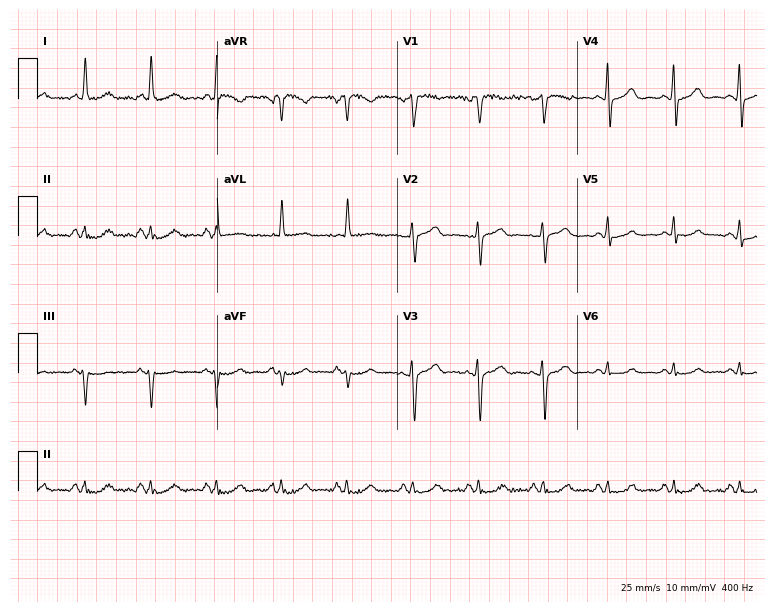
12-lead ECG from a 65-year-old female (7.3-second recording at 400 Hz). Recorded interpretation: within normal limits.